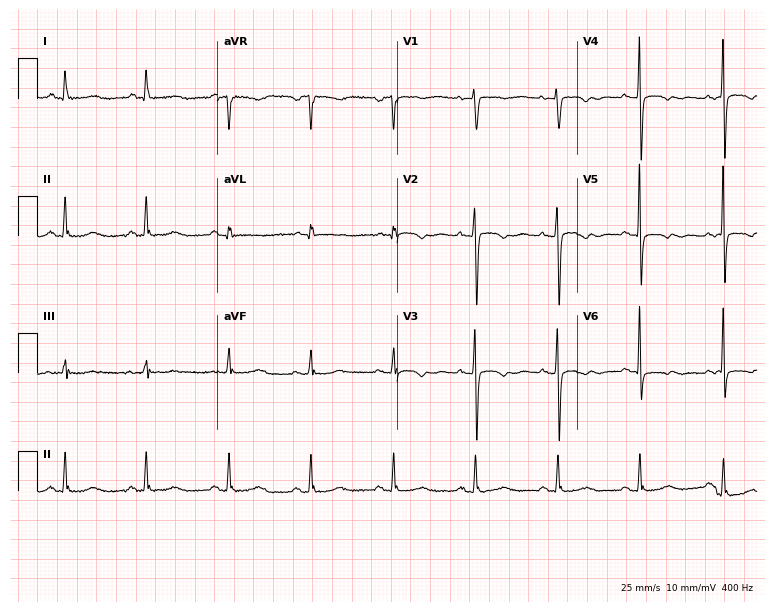
12-lead ECG from a woman, 56 years old. Screened for six findings — first-degree AV block, right bundle branch block, left bundle branch block, sinus bradycardia, atrial fibrillation, sinus tachycardia — none is recorded. Other findings, if any, are not listed.